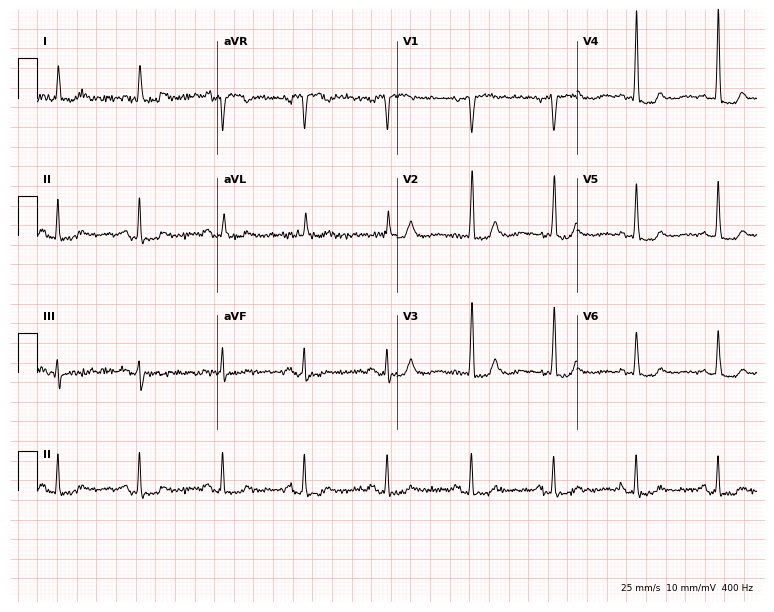
ECG — a woman, 72 years old. Screened for six findings — first-degree AV block, right bundle branch block, left bundle branch block, sinus bradycardia, atrial fibrillation, sinus tachycardia — none is recorded. Other findings, if any, are not listed.